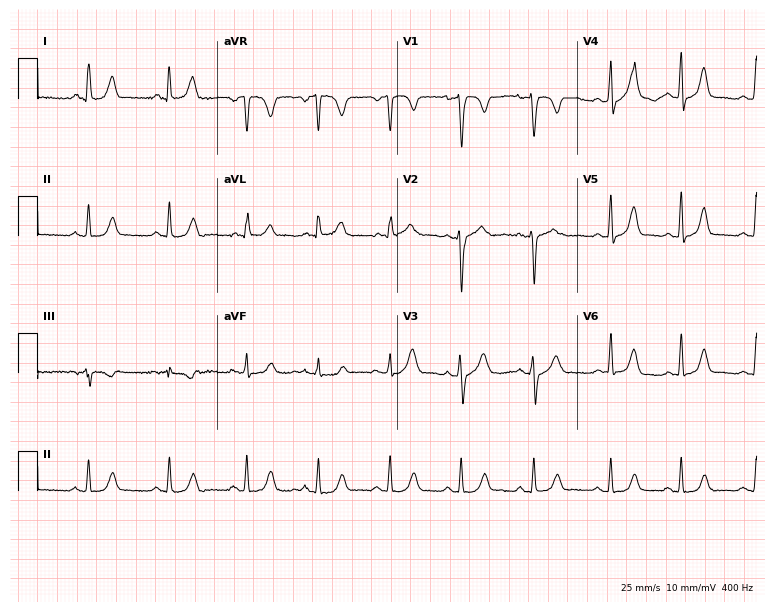
12-lead ECG (7.3-second recording at 400 Hz) from a female patient, 30 years old. Screened for six findings — first-degree AV block, right bundle branch block, left bundle branch block, sinus bradycardia, atrial fibrillation, sinus tachycardia — none is recorded.